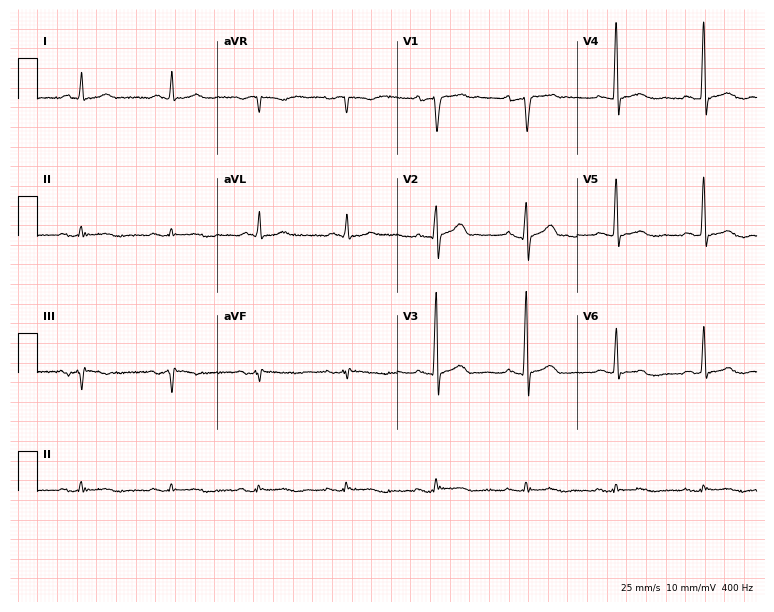
ECG (7.3-second recording at 400 Hz) — a male patient, 63 years old. Screened for six findings — first-degree AV block, right bundle branch block (RBBB), left bundle branch block (LBBB), sinus bradycardia, atrial fibrillation (AF), sinus tachycardia — none is recorded.